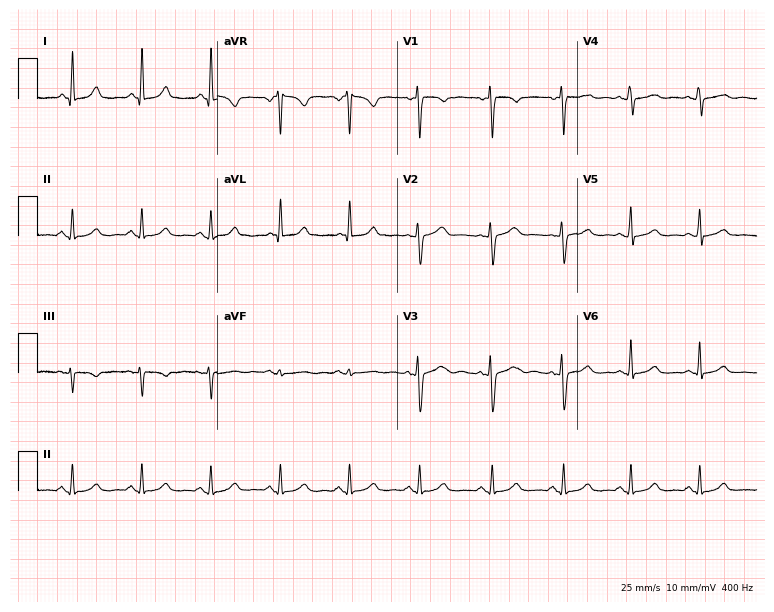
12-lead ECG (7.3-second recording at 400 Hz) from a female, 51 years old. Labelled as a normal ECG.